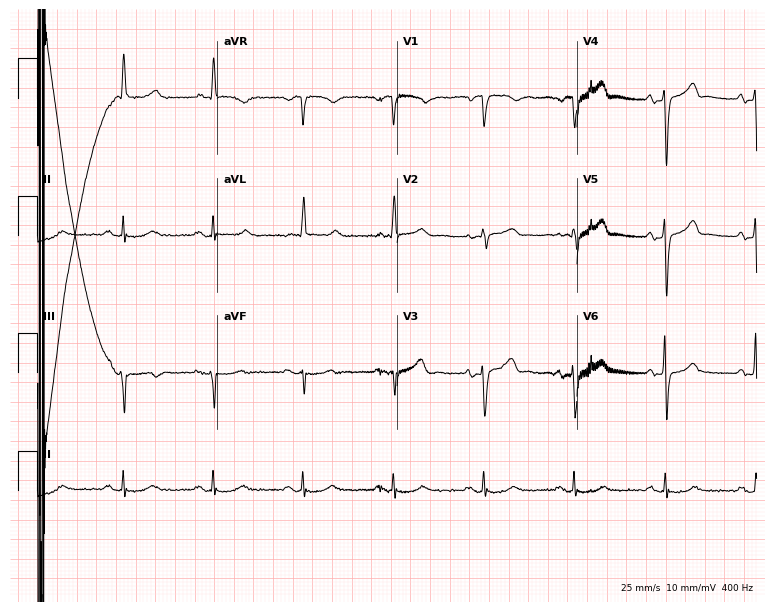
ECG — a 75-year-old male patient. Screened for six findings — first-degree AV block, right bundle branch block, left bundle branch block, sinus bradycardia, atrial fibrillation, sinus tachycardia — none is recorded. Other findings, if any, are not listed.